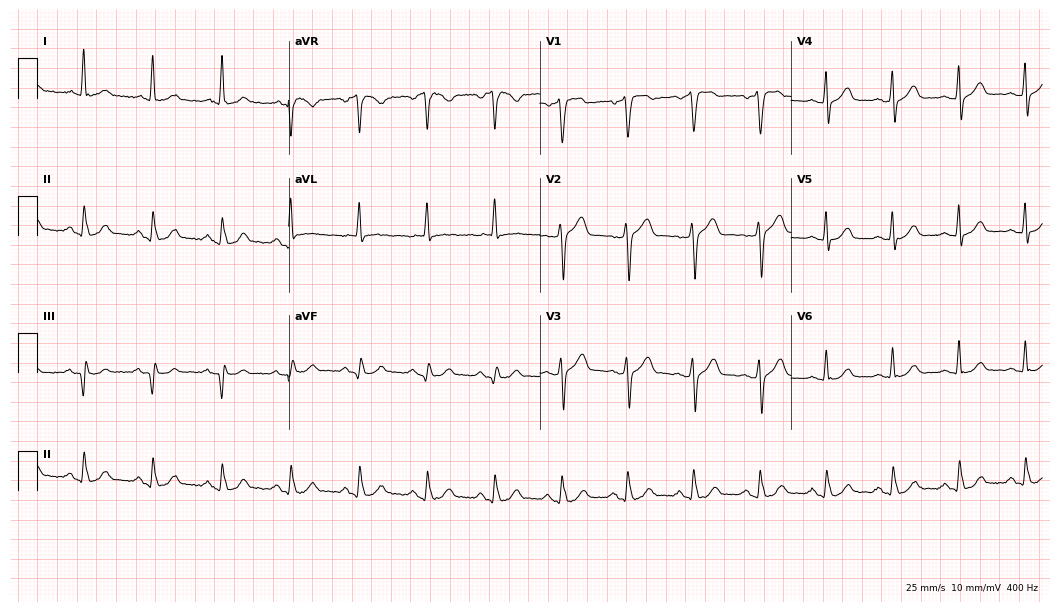
12-lead ECG from a male patient, 56 years old. No first-degree AV block, right bundle branch block (RBBB), left bundle branch block (LBBB), sinus bradycardia, atrial fibrillation (AF) or sinus tachycardia recorded for this tracing. Other findings, if any, are not listed.